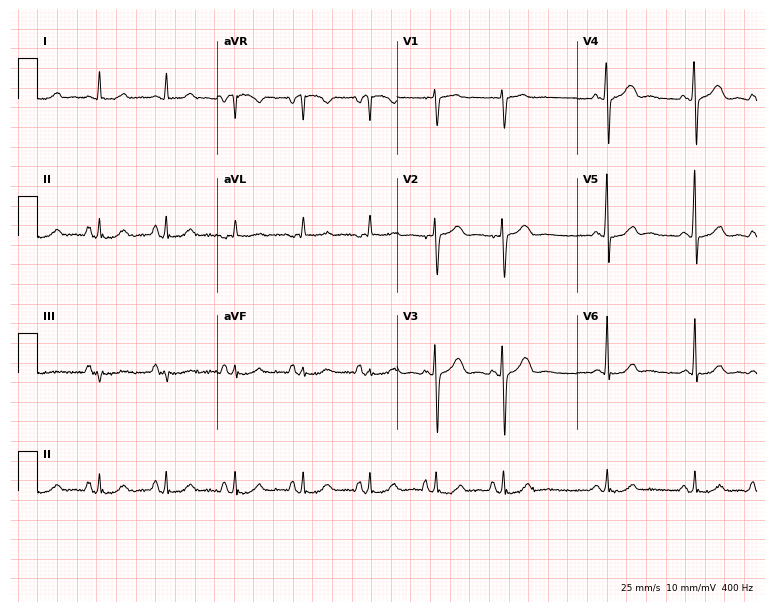
Resting 12-lead electrocardiogram (7.3-second recording at 400 Hz). Patient: a female, 70 years old. None of these six findings is recorded: first-degree AV block, right bundle branch block, left bundle branch block, sinus bradycardia, atrial fibrillation, sinus tachycardia. Findings outside these six are not listed.